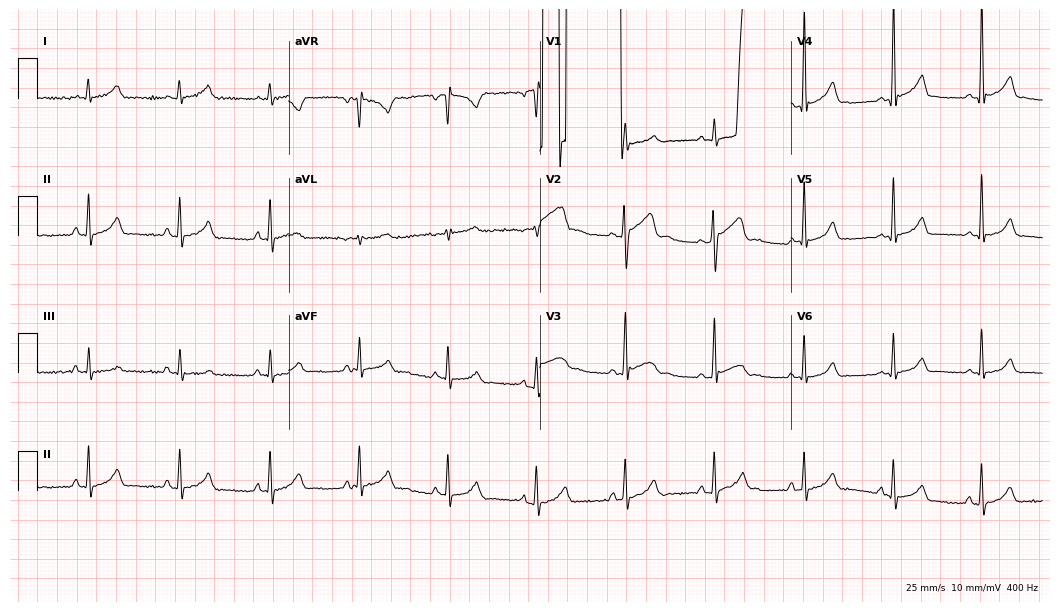
12-lead ECG (10.2-second recording at 400 Hz) from a man, 22 years old. Screened for six findings — first-degree AV block, right bundle branch block, left bundle branch block, sinus bradycardia, atrial fibrillation, sinus tachycardia — none is recorded. Only these six findings were labelled.